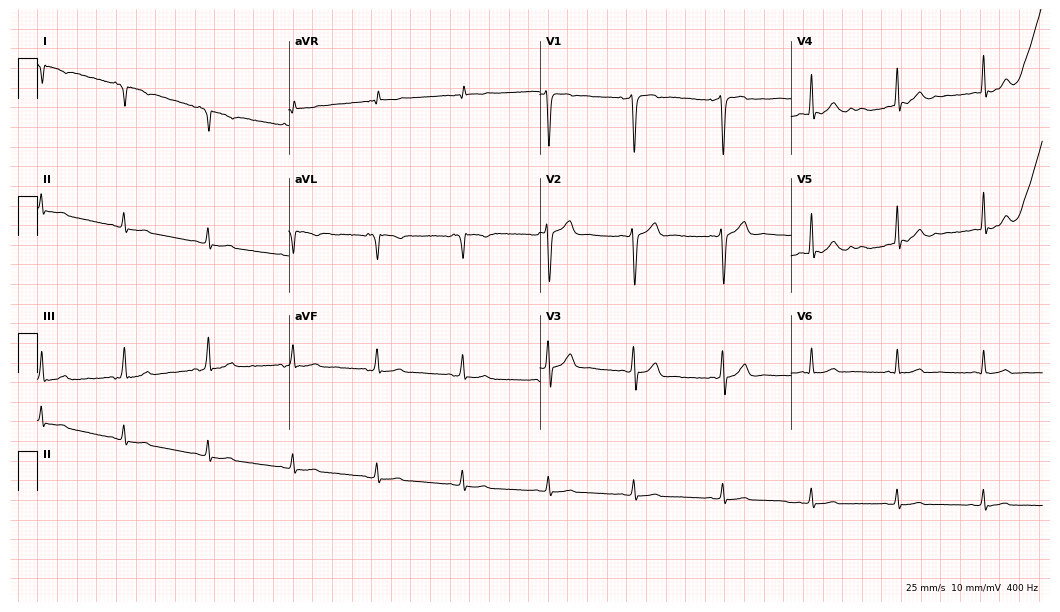
Electrocardiogram, a 40-year-old male patient. Of the six screened findings (first-degree AV block, right bundle branch block, left bundle branch block, sinus bradycardia, atrial fibrillation, sinus tachycardia), none is recorded. Only these six findings were labelled.